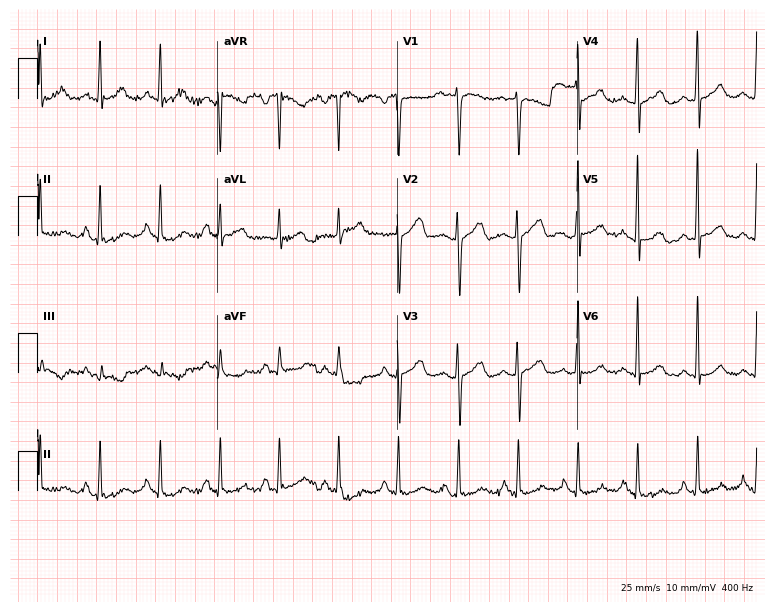
Standard 12-lead ECG recorded from a 69-year-old woman. None of these six findings is recorded: first-degree AV block, right bundle branch block (RBBB), left bundle branch block (LBBB), sinus bradycardia, atrial fibrillation (AF), sinus tachycardia.